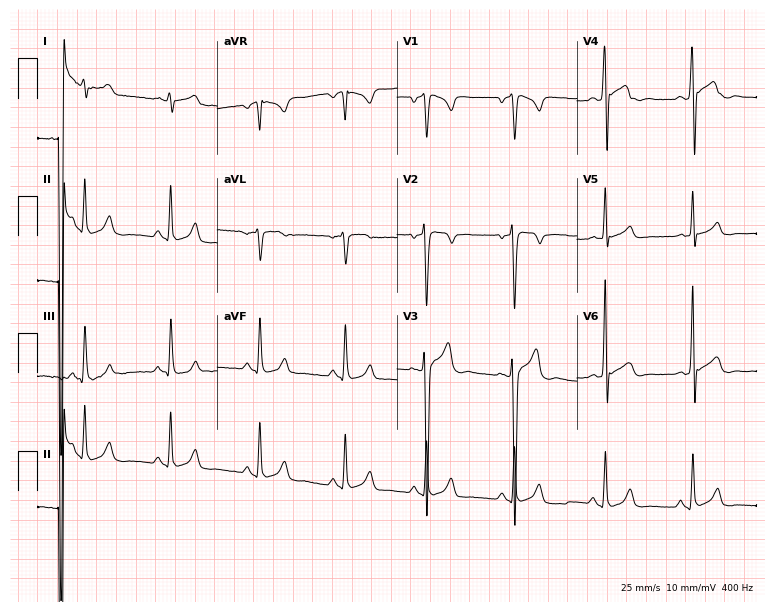
12-lead ECG from a man, 20 years old. Screened for six findings — first-degree AV block, right bundle branch block, left bundle branch block, sinus bradycardia, atrial fibrillation, sinus tachycardia — none is recorded.